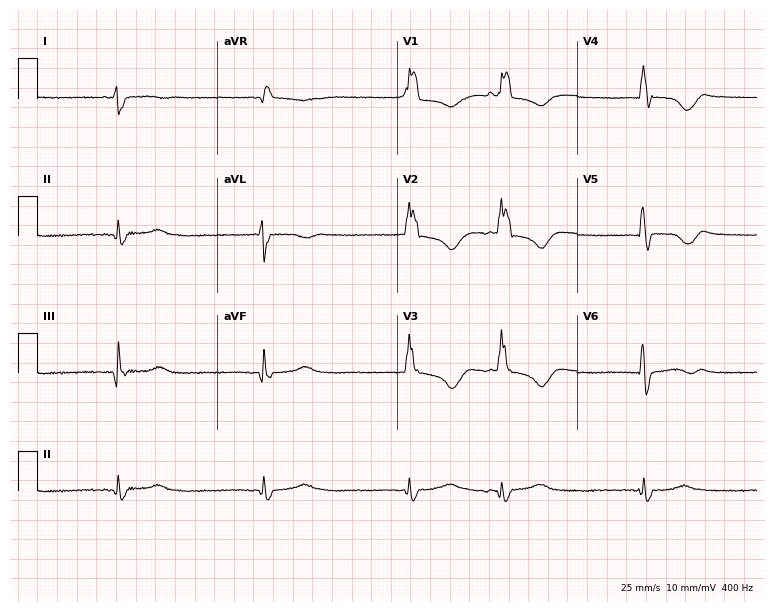
12-lead ECG from a 46-year-old female. Findings include right bundle branch block, atrial fibrillation.